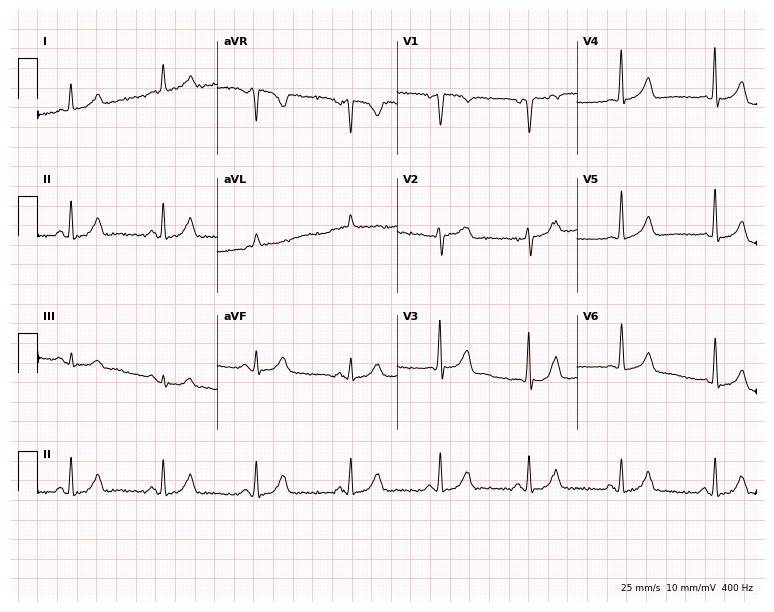
Standard 12-lead ECG recorded from a 70-year-old male. None of these six findings is recorded: first-degree AV block, right bundle branch block, left bundle branch block, sinus bradycardia, atrial fibrillation, sinus tachycardia. Findings outside these six are not listed.